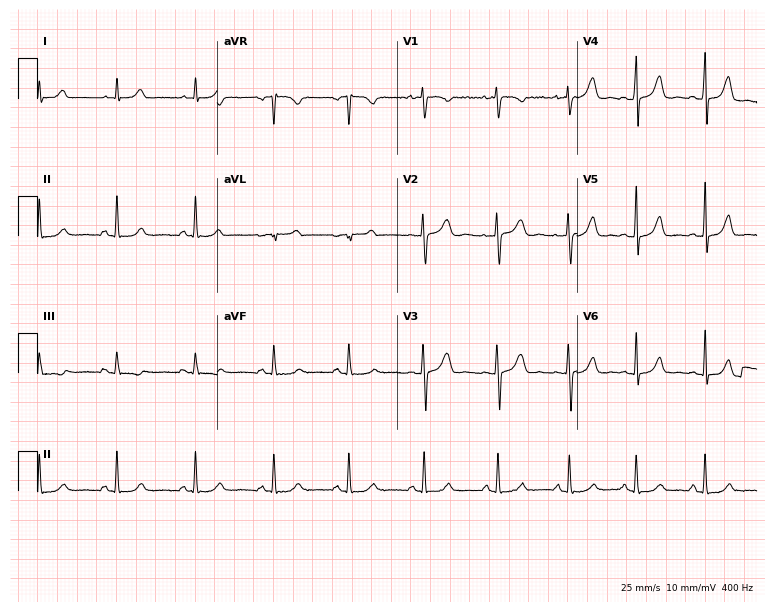
Resting 12-lead electrocardiogram (7.3-second recording at 400 Hz). Patient: a female, 26 years old. Read as a normal ECG.